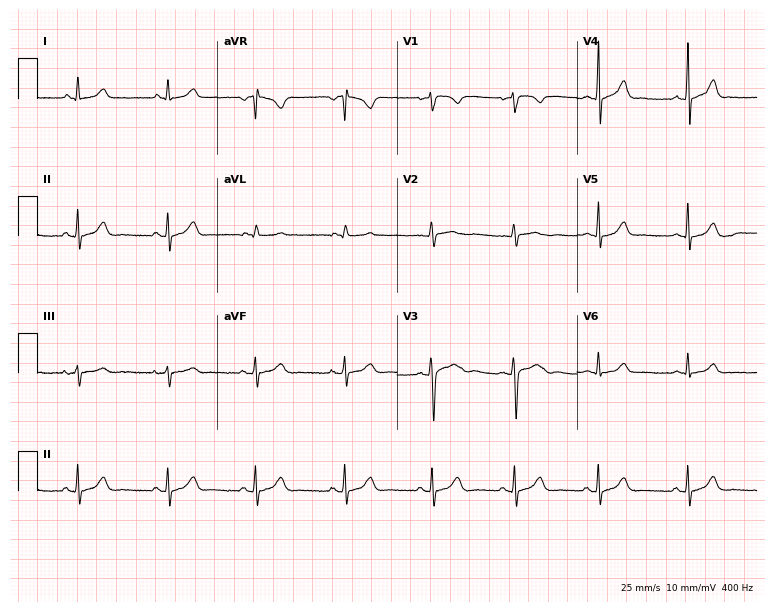
12-lead ECG from a 27-year-old female. Screened for six findings — first-degree AV block, right bundle branch block, left bundle branch block, sinus bradycardia, atrial fibrillation, sinus tachycardia — none is recorded. Only these six findings were labelled.